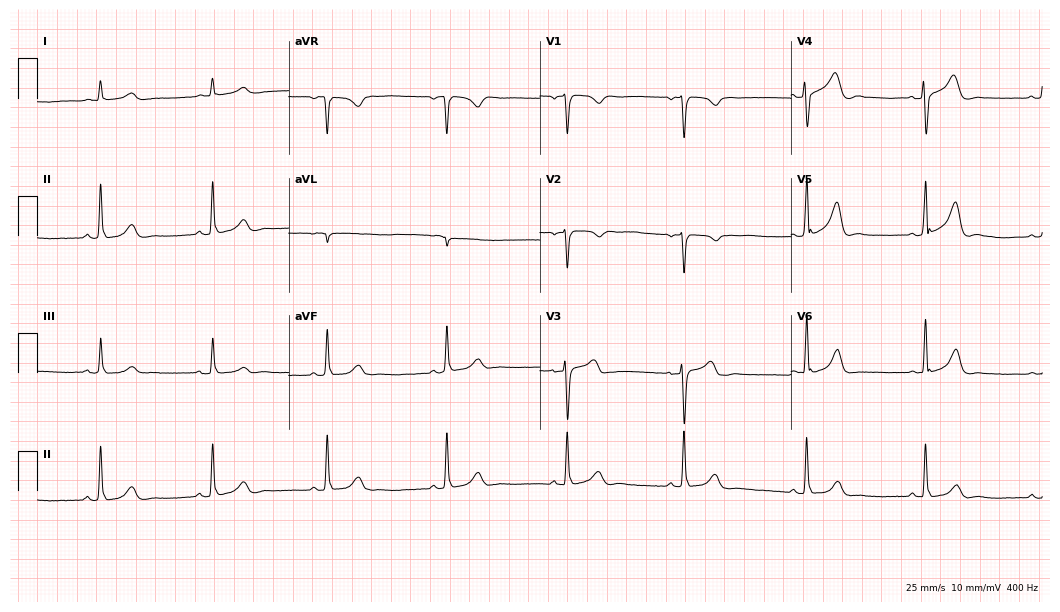
Resting 12-lead electrocardiogram (10.2-second recording at 400 Hz). Patient: a 49-year-old man. Read as a normal ECG.